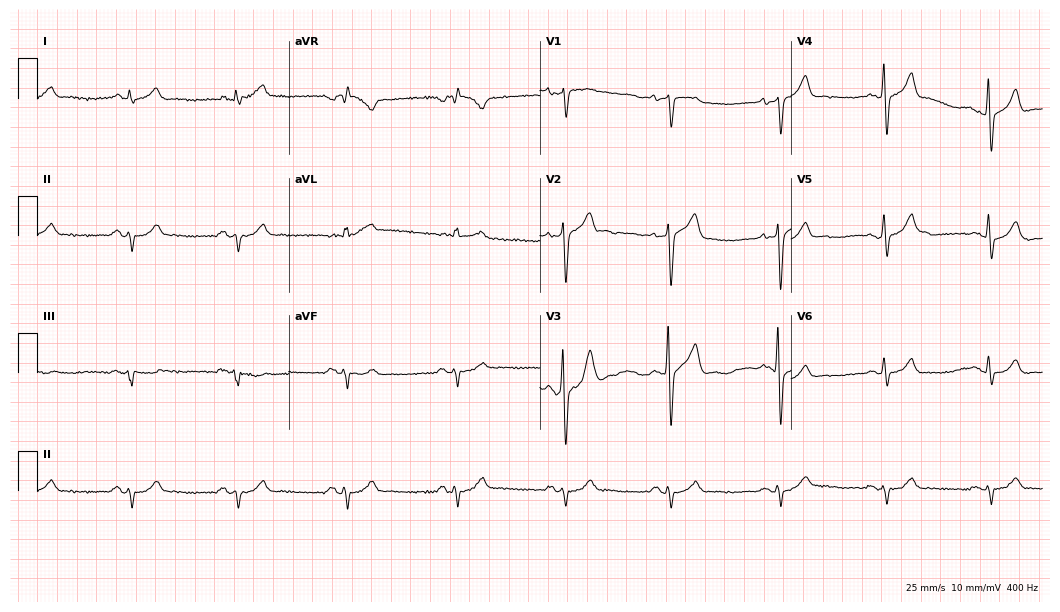
12-lead ECG from a 68-year-old male patient. Labelled as a normal ECG.